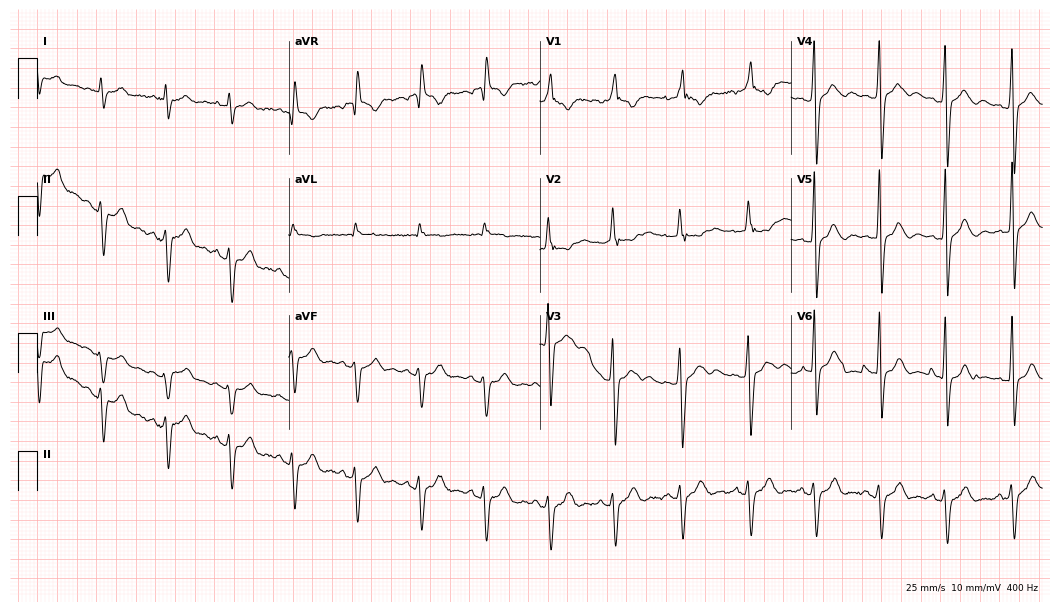
Standard 12-lead ECG recorded from a man, 27 years old (10.2-second recording at 400 Hz). None of these six findings is recorded: first-degree AV block, right bundle branch block, left bundle branch block, sinus bradycardia, atrial fibrillation, sinus tachycardia.